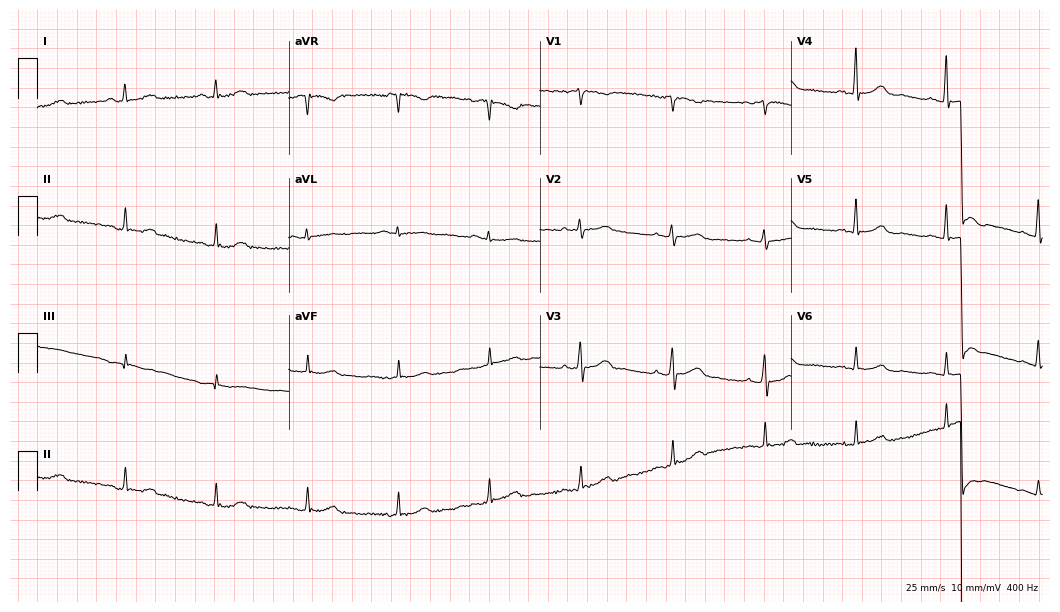
Resting 12-lead electrocardiogram. Patient: a 55-year-old woman. Read as a normal ECG.